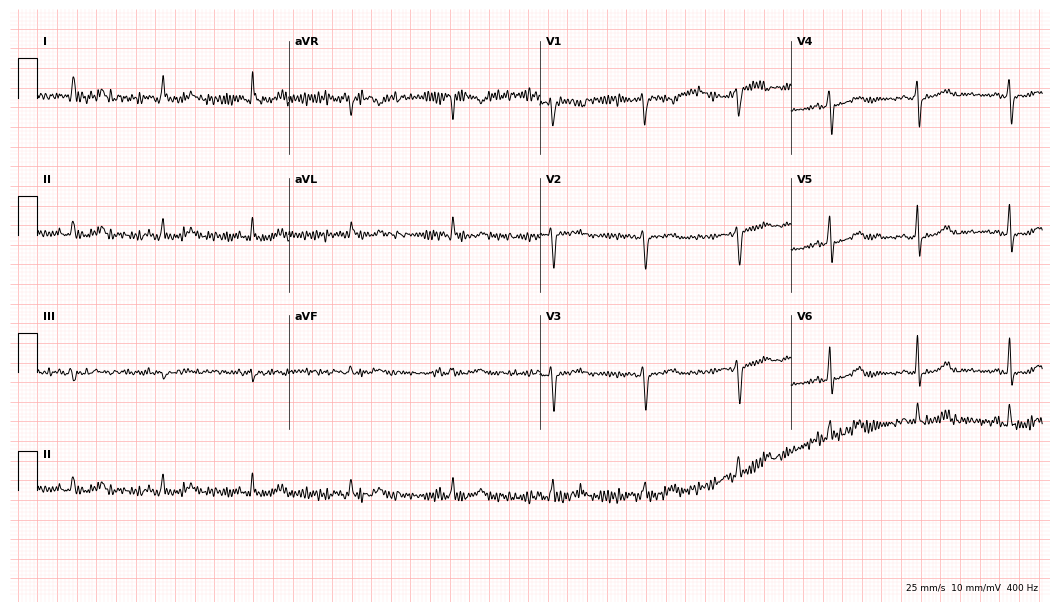
12-lead ECG (10.2-second recording at 400 Hz) from a woman, 43 years old. Screened for six findings — first-degree AV block, right bundle branch block, left bundle branch block, sinus bradycardia, atrial fibrillation, sinus tachycardia — none is recorded.